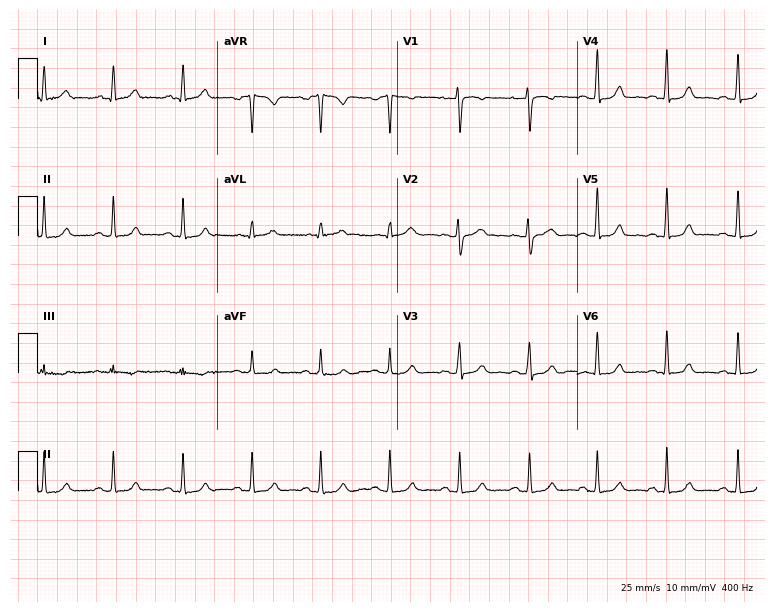
Resting 12-lead electrocardiogram. Patient: a female, 33 years old. Read as a normal ECG.